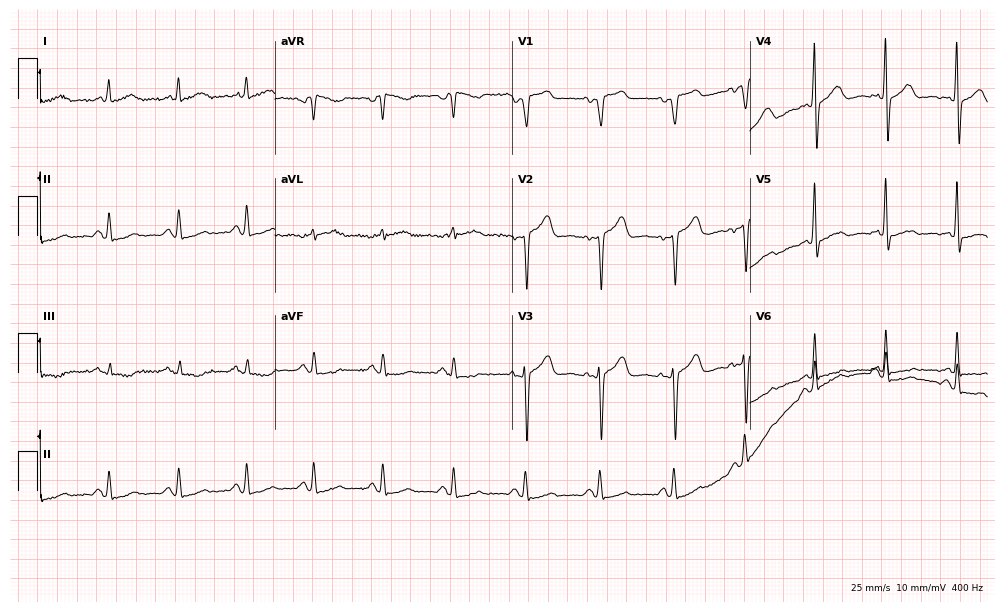
12-lead ECG from a woman, 55 years old. Recorded interpretation: within normal limits.